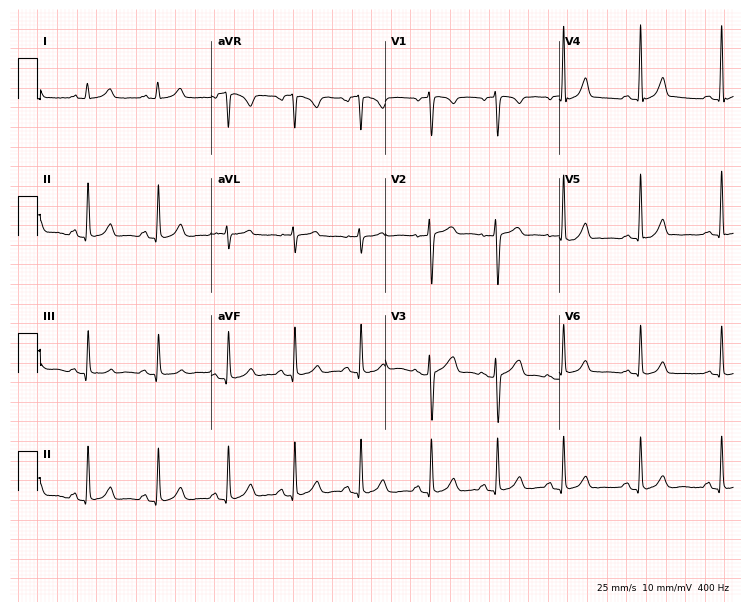
12-lead ECG from a 39-year-old female. Labelled as a normal ECG.